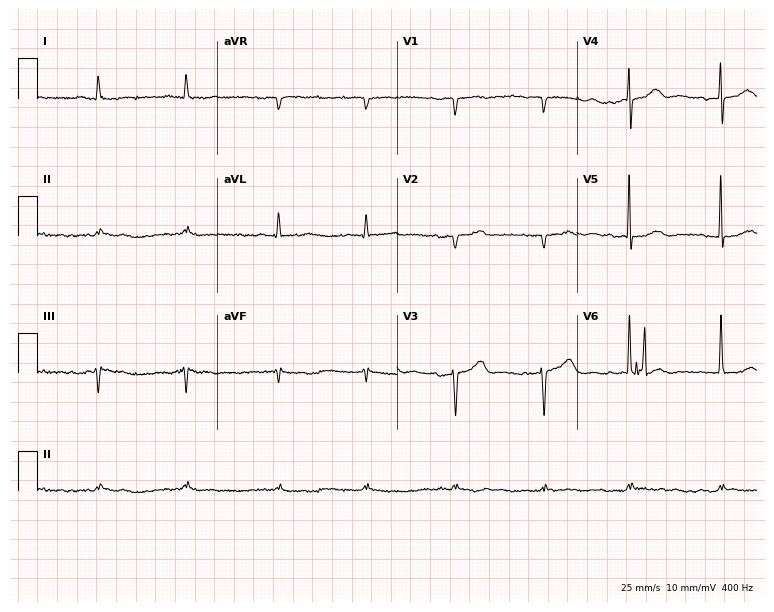
Standard 12-lead ECG recorded from an 82-year-old female patient. None of these six findings is recorded: first-degree AV block, right bundle branch block, left bundle branch block, sinus bradycardia, atrial fibrillation, sinus tachycardia. Findings outside these six are not listed.